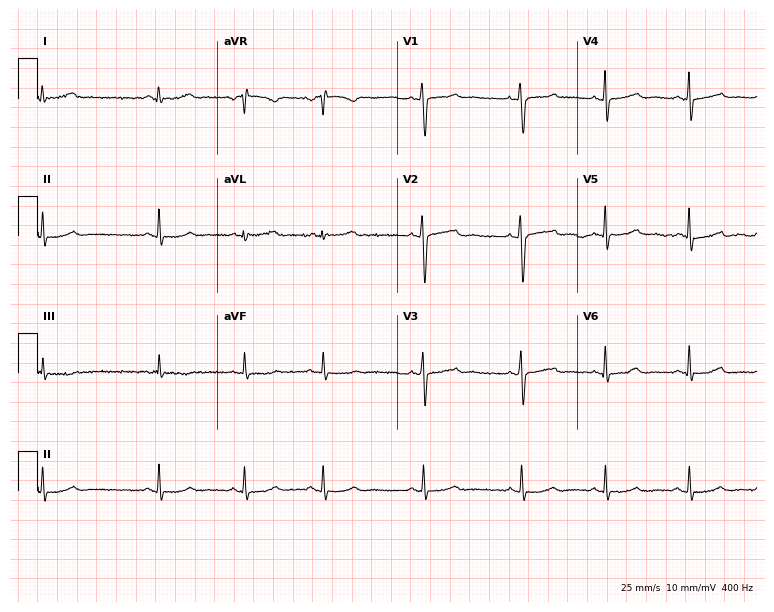
ECG (7.3-second recording at 400 Hz) — a 20-year-old woman. Labelled as a normal ECG.